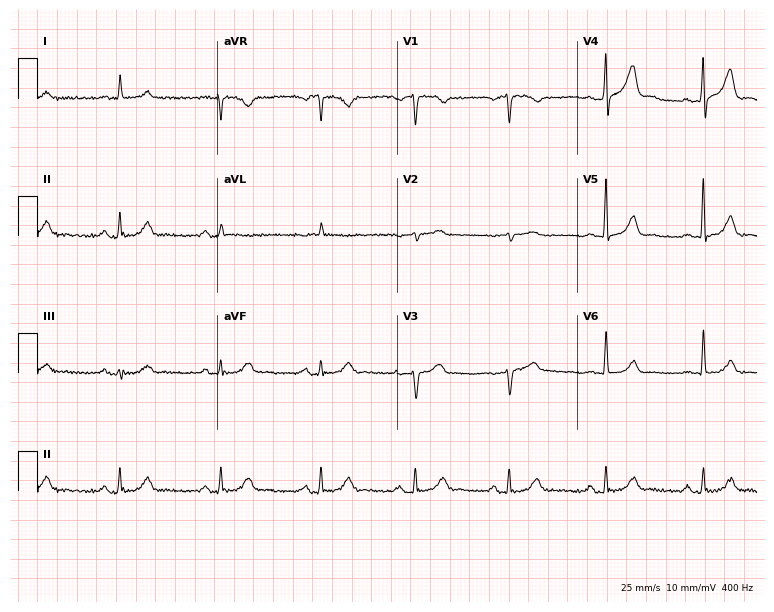
Standard 12-lead ECG recorded from a male, 78 years old. Read as a normal ECG.